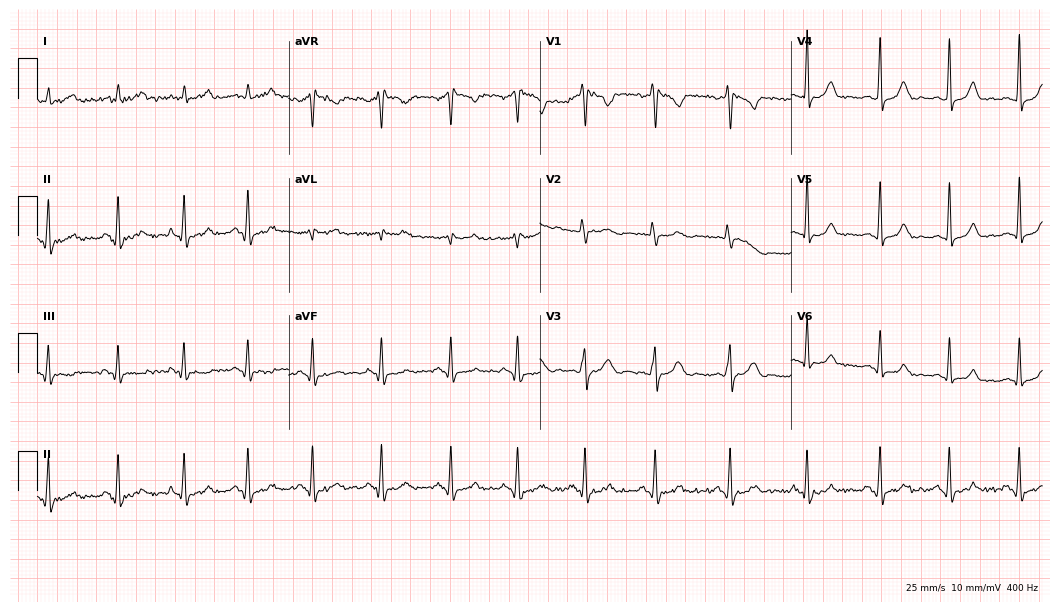
12-lead ECG from a female patient, 23 years old. No first-degree AV block, right bundle branch block, left bundle branch block, sinus bradycardia, atrial fibrillation or sinus tachycardia recorded for this tracing.